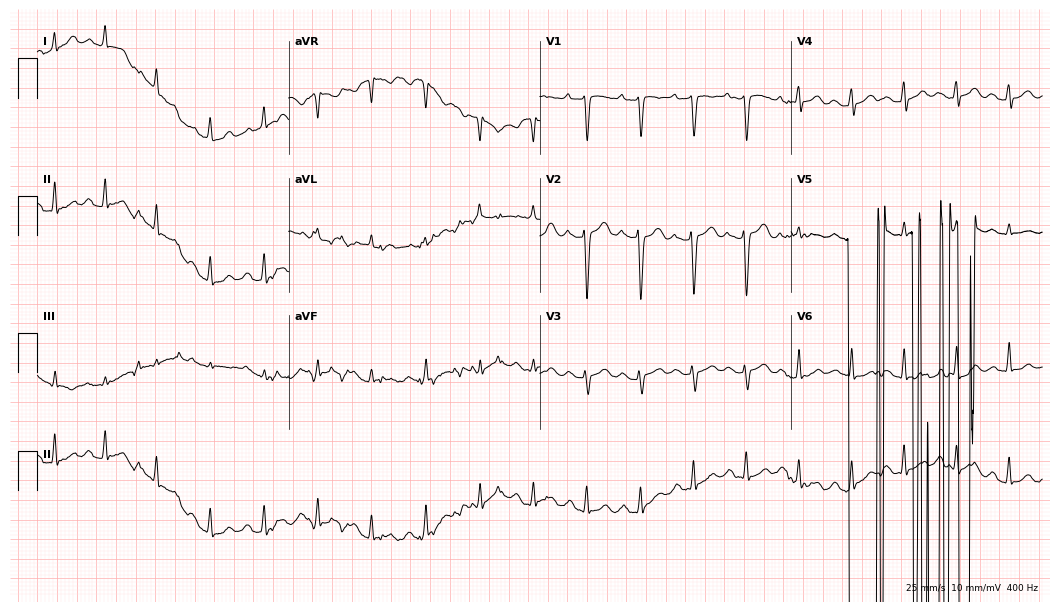
Standard 12-lead ECG recorded from a woman, 33 years old (10.2-second recording at 400 Hz). None of these six findings is recorded: first-degree AV block, right bundle branch block, left bundle branch block, sinus bradycardia, atrial fibrillation, sinus tachycardia. Findings outside these six are not listed.